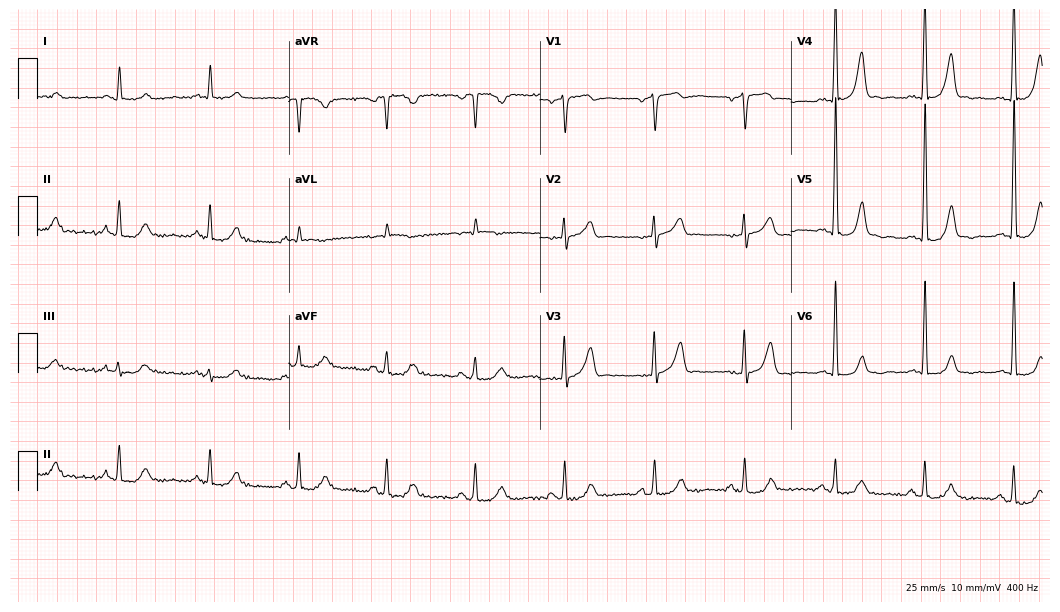
Electrocardiogram, a male patient, 81 years old. Overall reading on record: normal ECG.